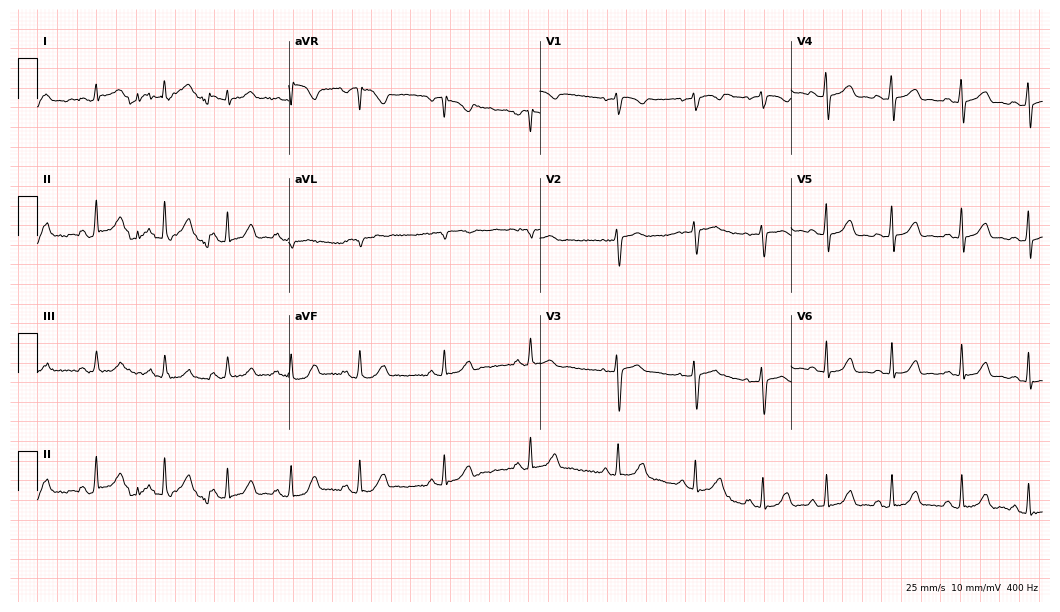
Standard 12-lead ECG recorded from a 22-year-old woman. None of these six findings is recorded: first-degree AV block, right bundle branch block (RBBB), left bundle branch block (LBBB), sinus bradycardia, atrial fibrillation (AF), sinus tachycardia.